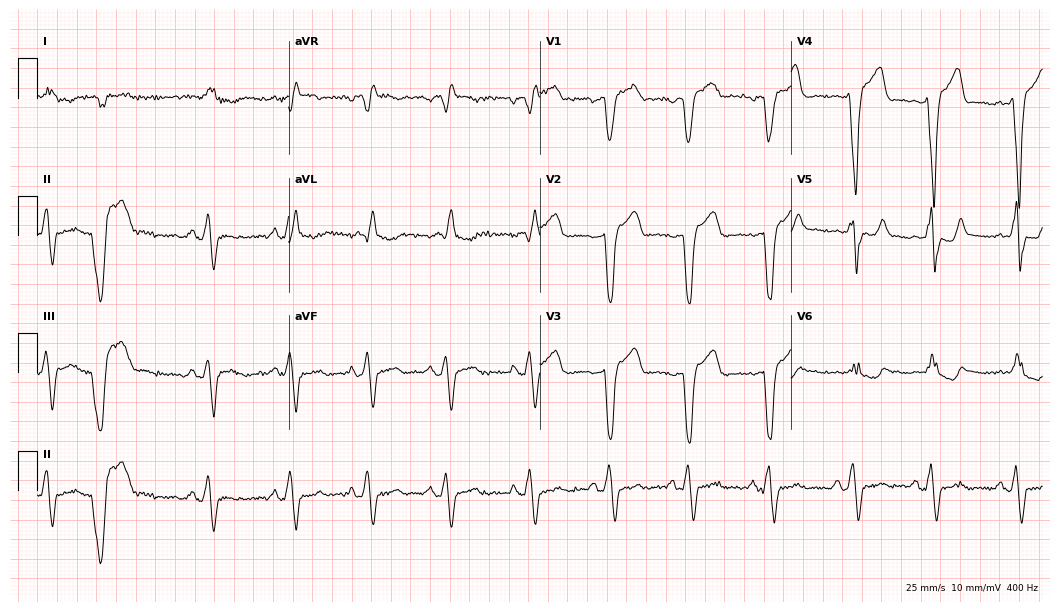
ECG — a 76-year-old male patient. Findings include left bundle branch block.